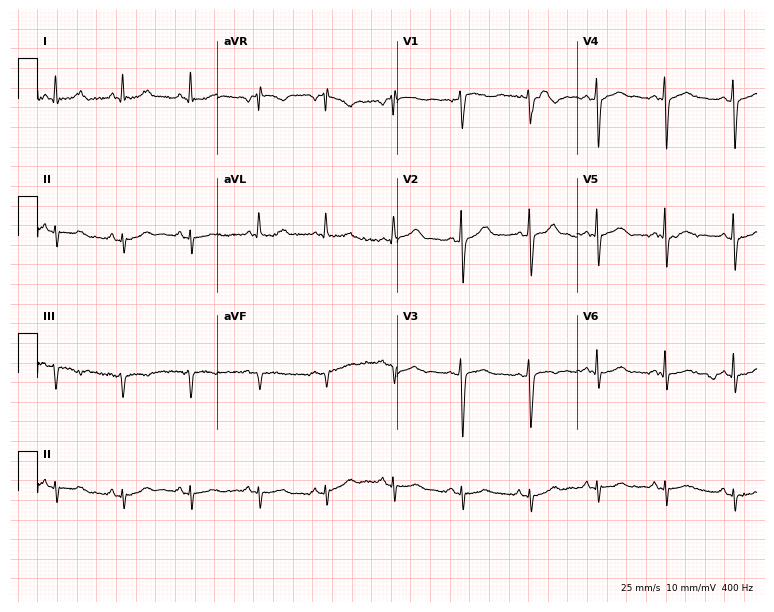
Electrocardiogram (7.3-second recording at 400 Hz), a 71-year-old woman. Of the six screened findings (first-degree AV block, right bundle branch block, left bundle branch block, sinus bradycardia, atrial fibrillation, sinus tachycardia), none is recorded. Findings outside these six are not listed.